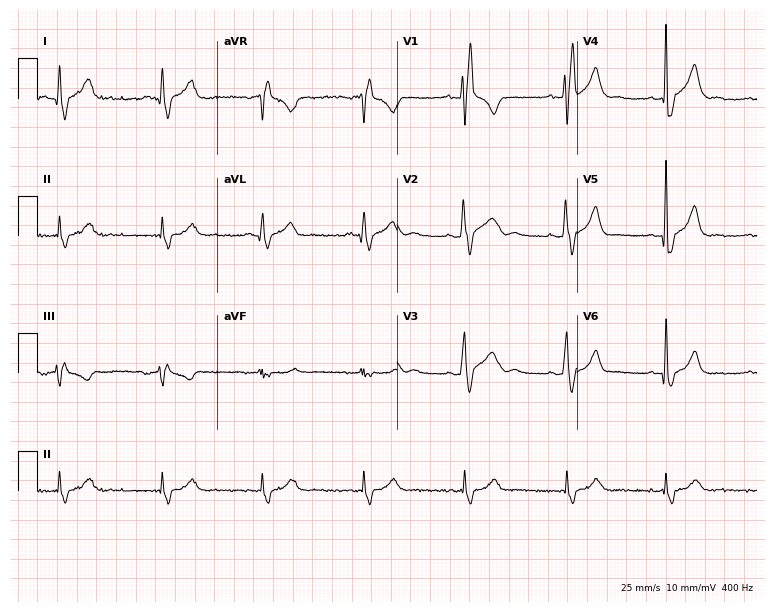
ECG — a 41-year-old man. Findings include right bundle branch block.